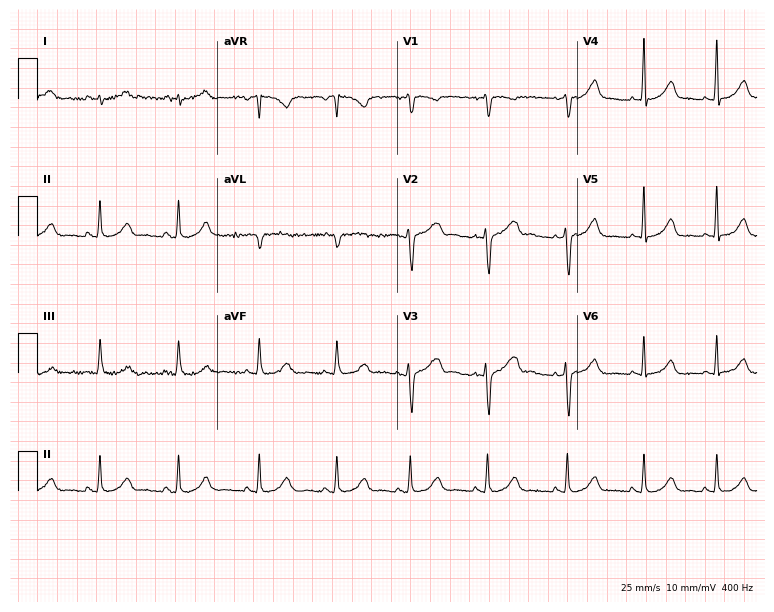
12-lead ECG from a 33-year-old woman. No first-degree AV block, right bundle branch block (RBBB), left bundle branch block (LBBB), sinus bradycardia, atrial fibrillation (AF) or sinus tachycardia recorded for this tracing.